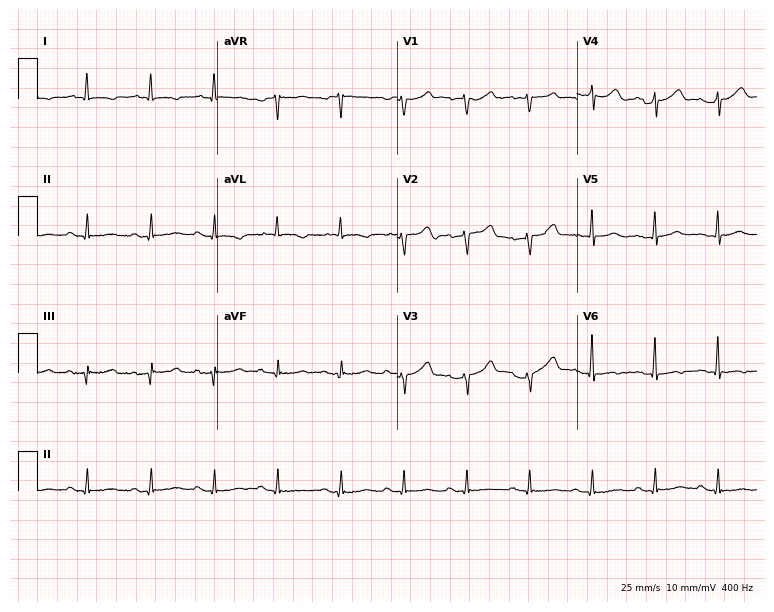
12-lead ECG (7.3-second recording at 400 Hz) from a man, 69 years old. Labelled as a normal ECG.